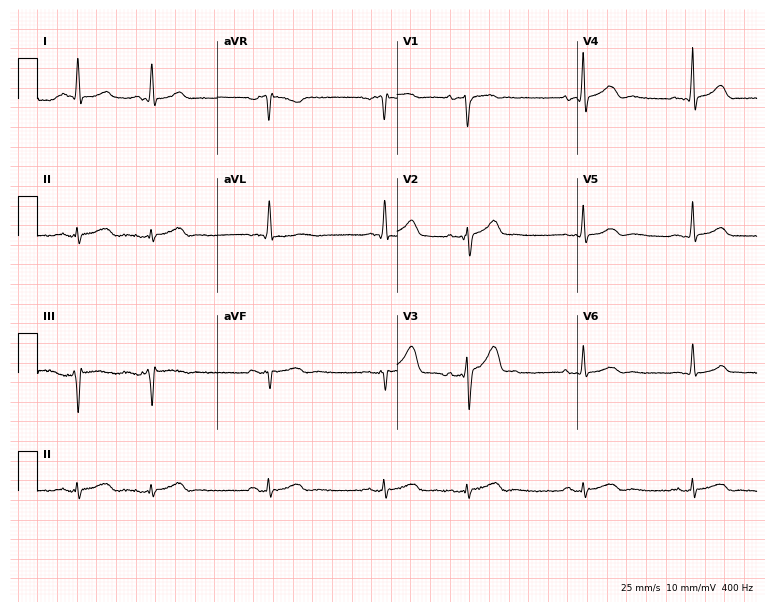
Standard 12-lead ECG recorded from a woman, 81 years old (7.3-second recording at 400 Hz). None of these six findings is recorded: first-degree AV block, right bundle branch block (RBBB), left bundle branch block (LBBB), sinus bradycardia, atrial fibrillation (AF), sinus tachycardia. Findings outside these six are not listed.